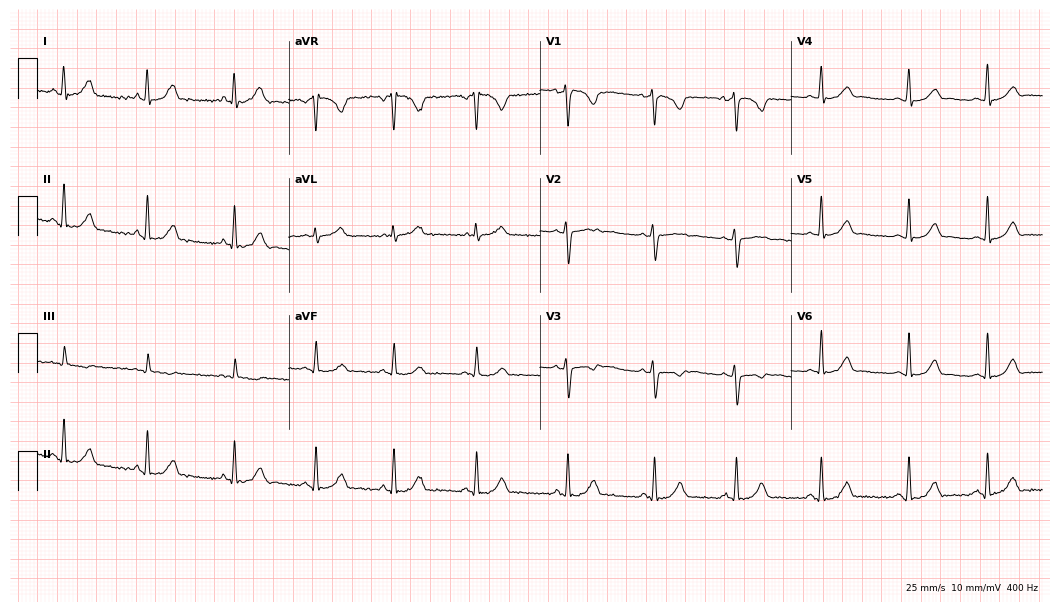
ECG — a 24-year-old female patient. Screened for six findings — first-degree AV block, right bundle branch block, left bundle branch block, sinus bradycardia, atrial fibrillation, sinus tachycardia — none is recorded.